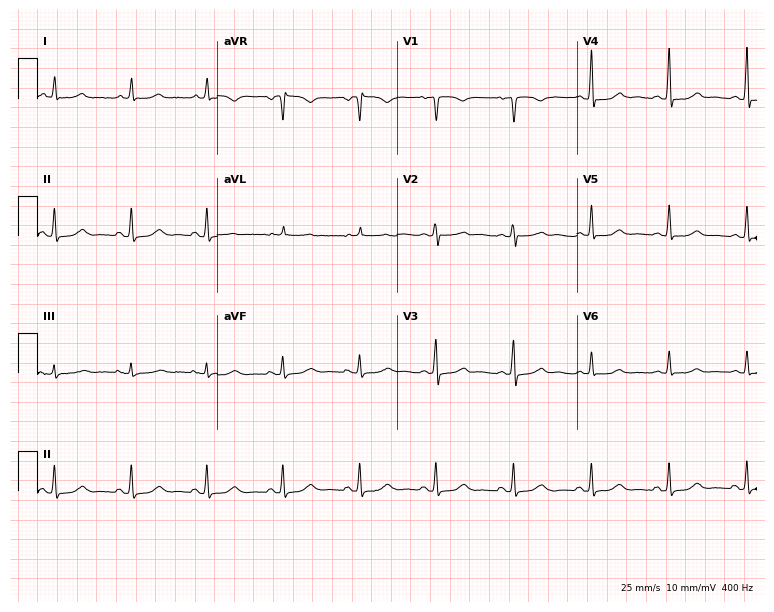
Standard 12-lead ECG recorded from a female, 63 years old (7.3-second recording at 400 Hz). None of these six findings is recorded: first-degree AV block, right bundle branch block, left bundle branch block, sinus bradycardia, atrial fibrillation, sinus tachycardia. Only these six findings were labelled.